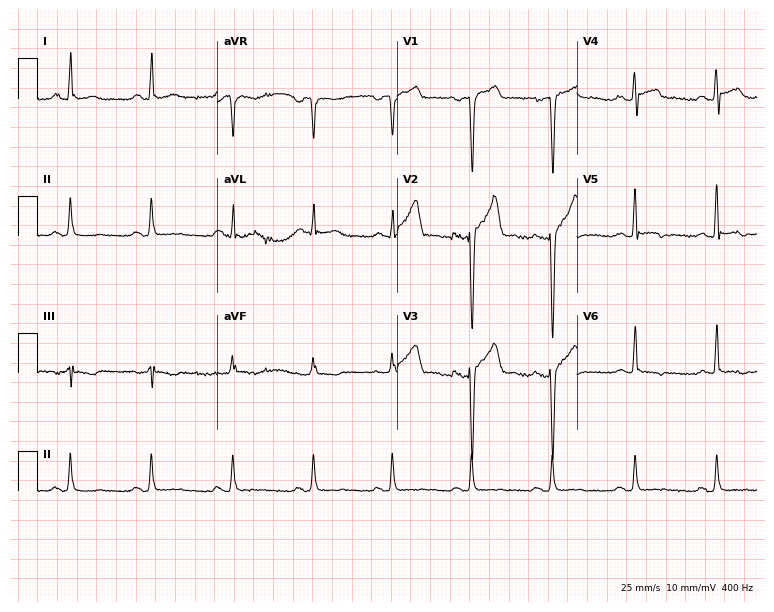
12-lead ECG from a 57-year-old man. No first-degree AV block, right bundle branch block (RBBB), left bundle branch block (LBBB), sinus bradycardia, atrial fibrillation (AF) or sinus tachycardia recorded for this tracing.